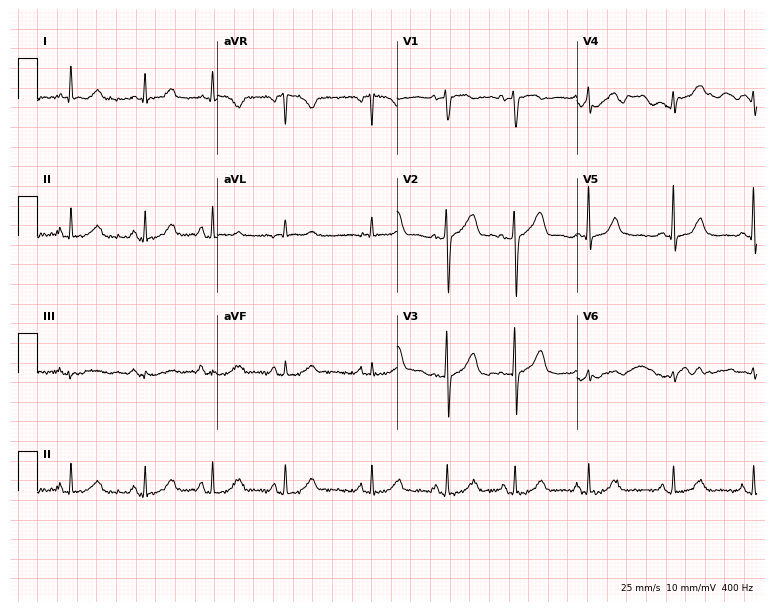
Resting 12-lead electrocardiogram (7.3-second recording at 400 Hz). Patient: a 32-year-old female. Read as a normal ECG.